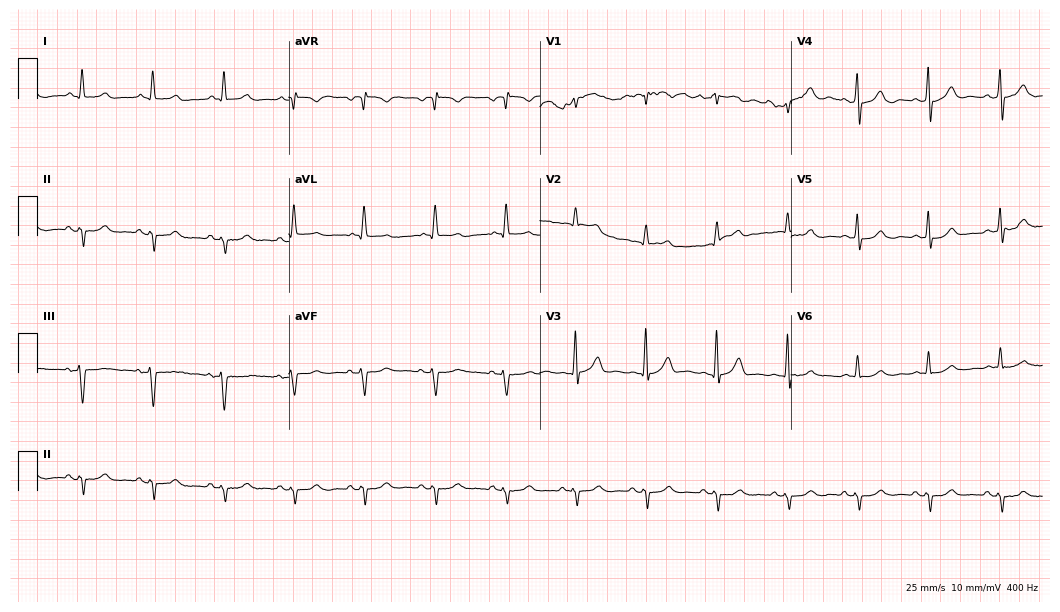
Resting 12-lead electrocardiogram. Patient: a man, 77 years old. None of these six findings is recorded: first-degree AV block, right bundle branch block, left bundle branch block, sinus bradycardia, atrial fibrillation, sinus tachycardia.